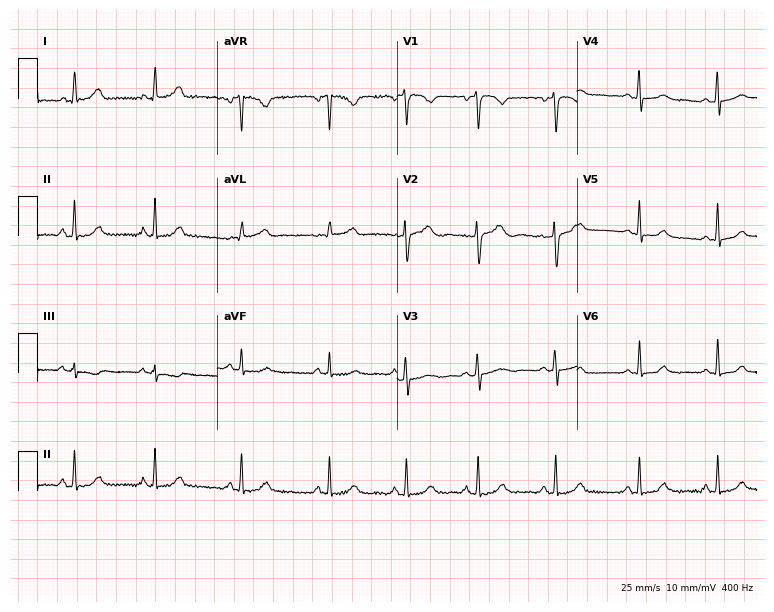
Standard 12-lead ECG recorded from a woman, 34 years old. None of these six findings is recorded: first-degree AV block, right bundle branch block (RBBB), left bundle branch block (LBBB), sinus bradycardia, atrial fibrillation (AF), sinus tachycardia.